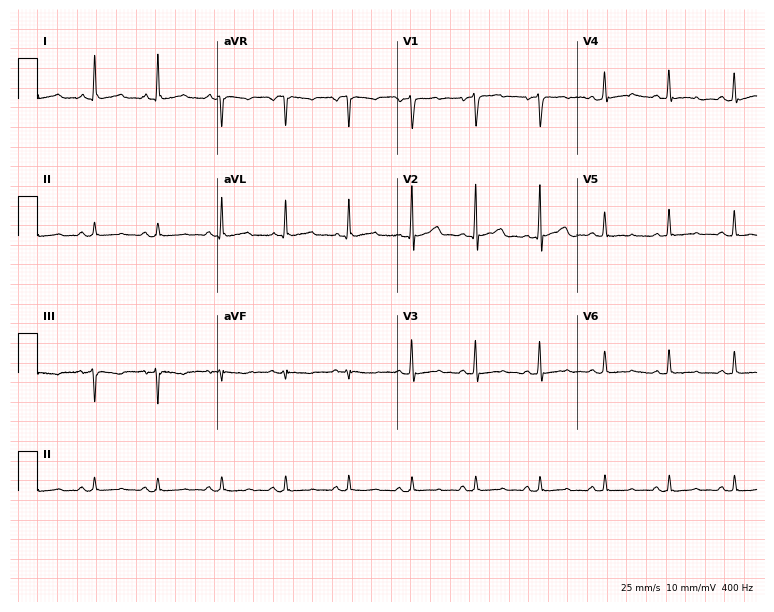
12-lead ECG from a 53-year-old woman. No first-degree AV block, right bundle branch block (RBBB), left bundle branch block (LBBB), sinus bradycardia, atrial fibrillation (AF) or sinus tachycardia recorded for this tracing. Other findings, if any, are not listed.